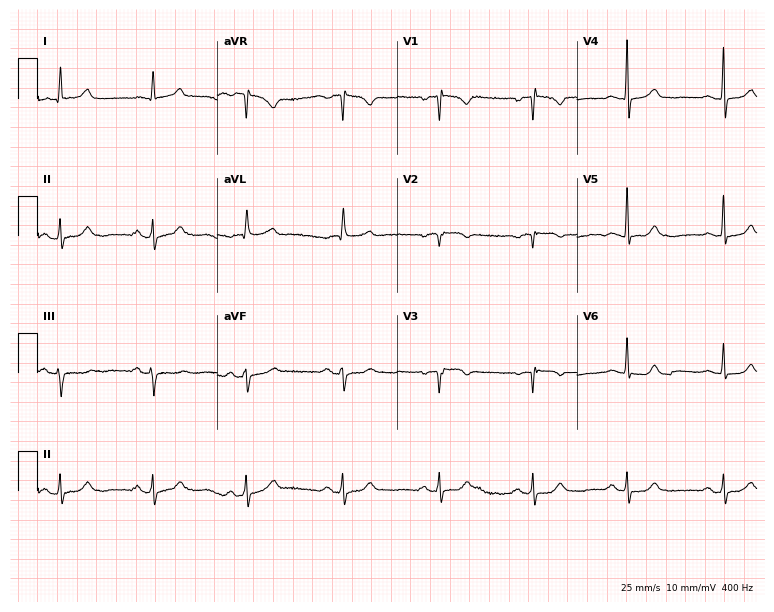
ECG (7.3-second recording at 400 Hz) — a female patient, 79 years old. Screened for six findings — first-degree AV block, right bundle branch block (RBBB), left bundle branch block (LBBB), sinus bradycardia, atrial fibrillation (AF), sinus tachycardia — none is recorded. Findings outside these six are not listed.